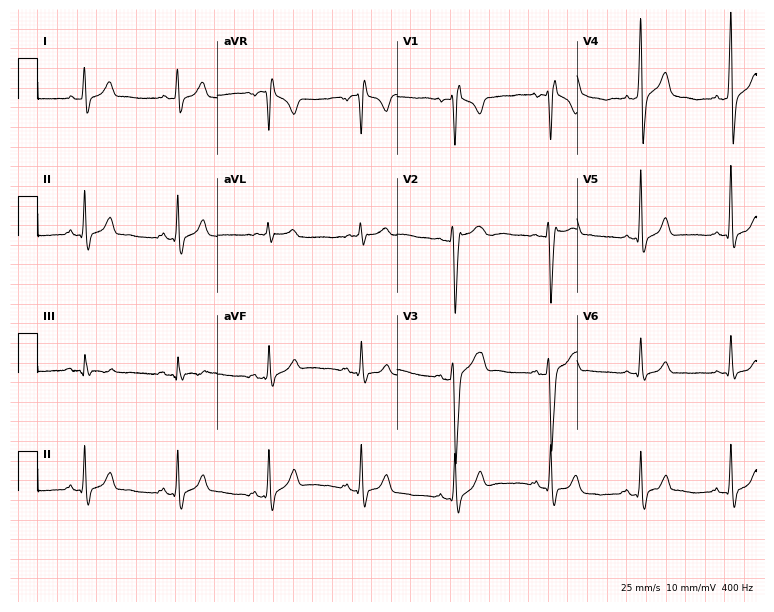
Resting 12-lead electrocardiogram. Patient: a male, 26 years old. None of these six findings is recorded: first-degree AV block, right bundle branch block (RBBB), left bundle branch block (LBBB), sinus bradycardia, atrial fibrillation (AF), sinus tachycardia.